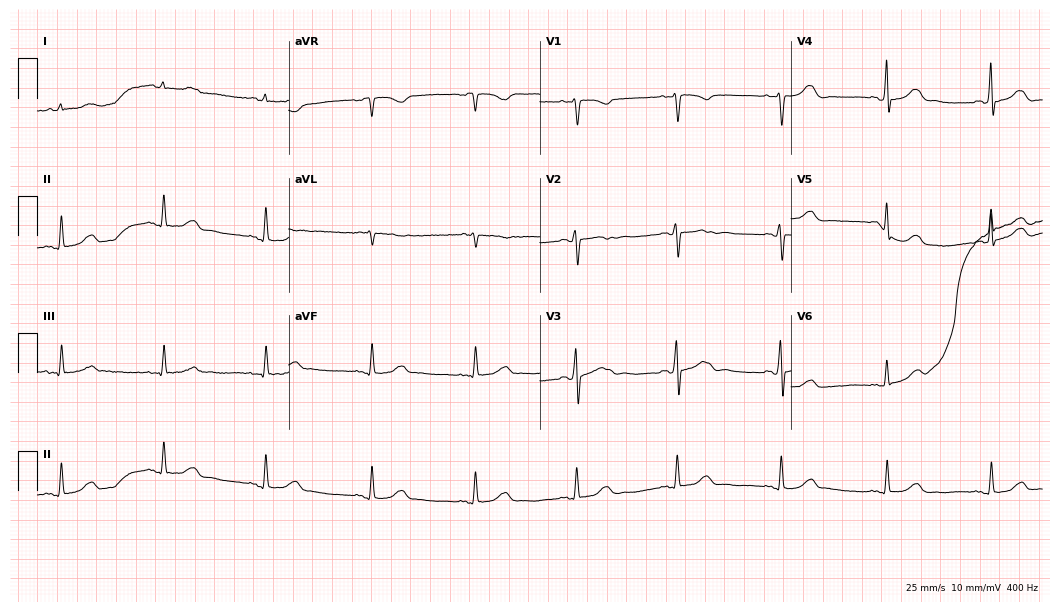
ECG — a 47-year-old woman. Labelled as a normal ECG.